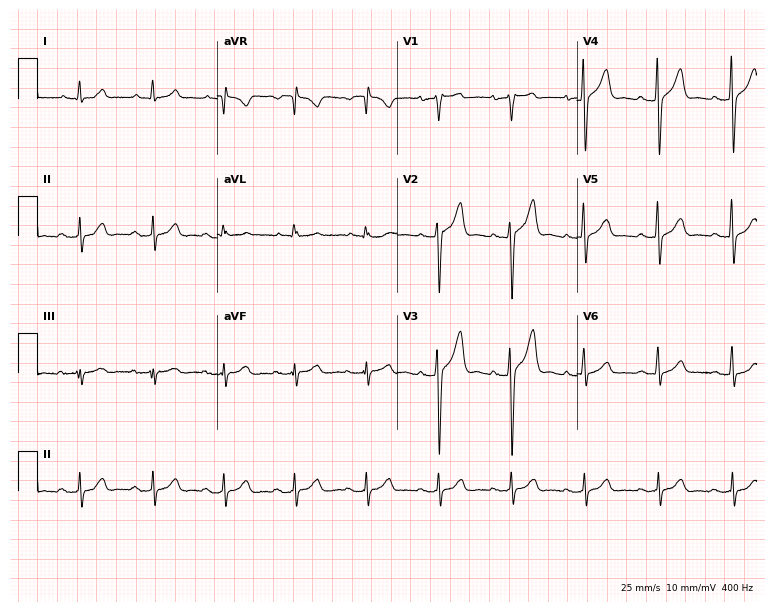
Standard 12-lead ECG recorded from a male, 56 years old (7.3-second recording at 400 Hz). None of these six findings is recorded: first-degree AV block, right bundle branch block (RBBB), left bundle branch block (LBBB), sinus bradycardia, atrial fibrillation (AF), sinus tachycardia.